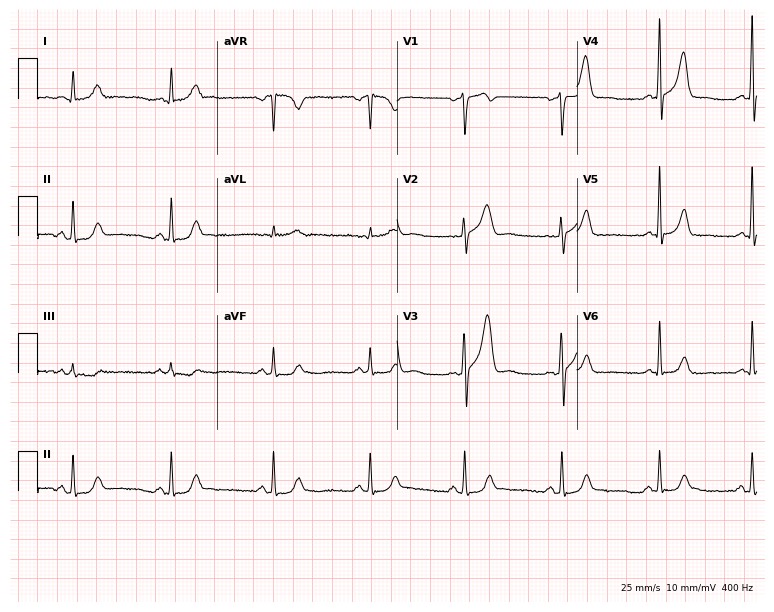
ECG (7.3-second recording at 400 Hz) — a 52-year-old man. Screened for six findings — first-degree AV block, right bundle branch block, left bundle branch block, sinus bradycardia, atrial fibrillation, sinus tachycardia — none is recorded. Other findings, if any, are not listed.